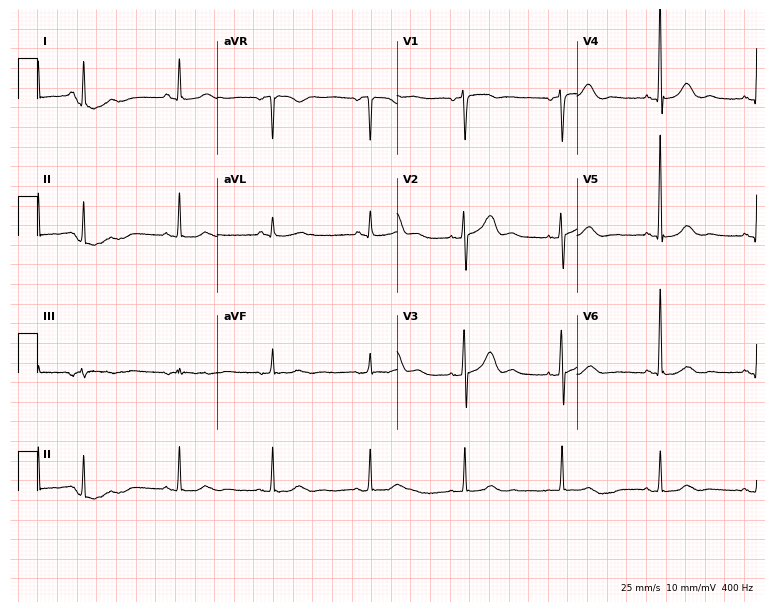
Resting 12-lead electrocardiogram. Patient: a female, 77 years old. Read as a normal ECG.